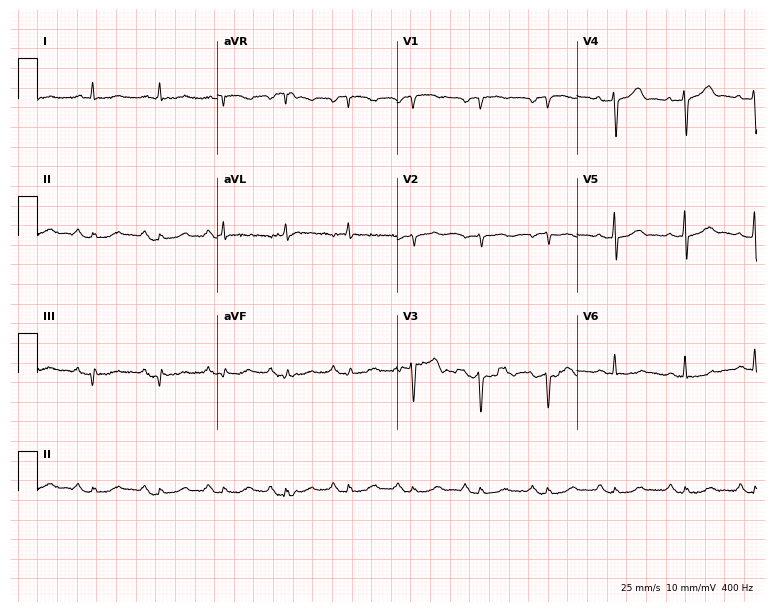
12-lead ECG from a male, 77 years old. Screened for six findings — first-degree AV block, right bundle branch block (RBBB), left bundle branch block (LBBB), sinus bradycardia, atrial fibrillation (AF), sinus tachycardia — none is recorded.